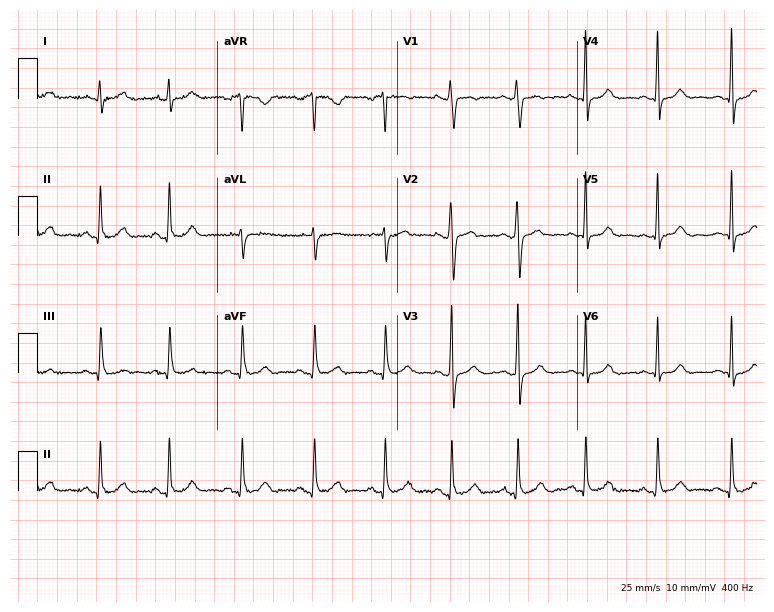
Resting 12-lead electrocardiogram. Patient: a 36-year-old female. Read as a normal ECG.